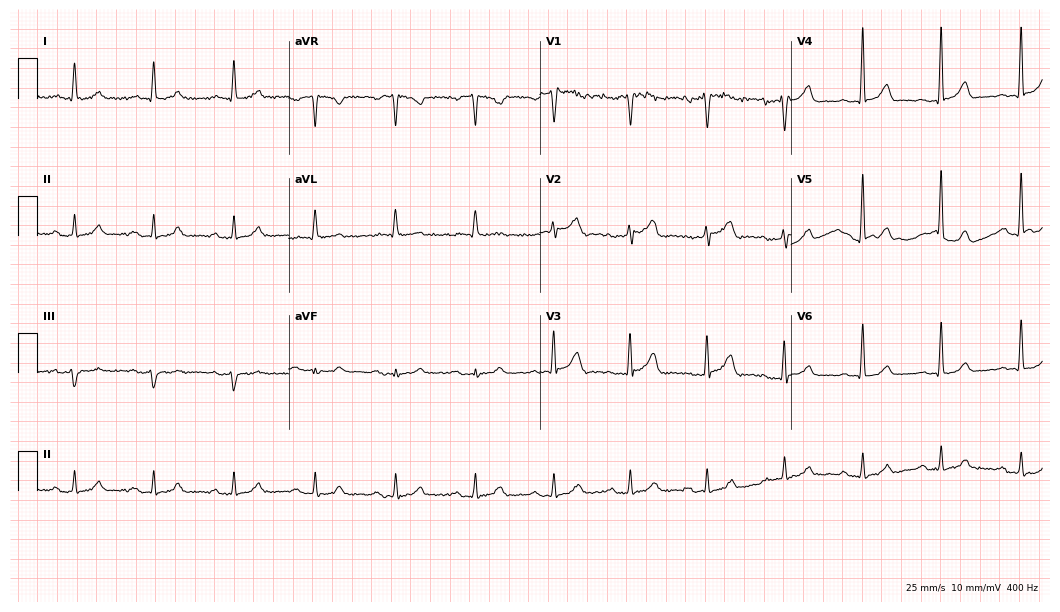
Standard 12-lead ECG recorded from a man, 75 years old. The tracing shows first-degree AV block.